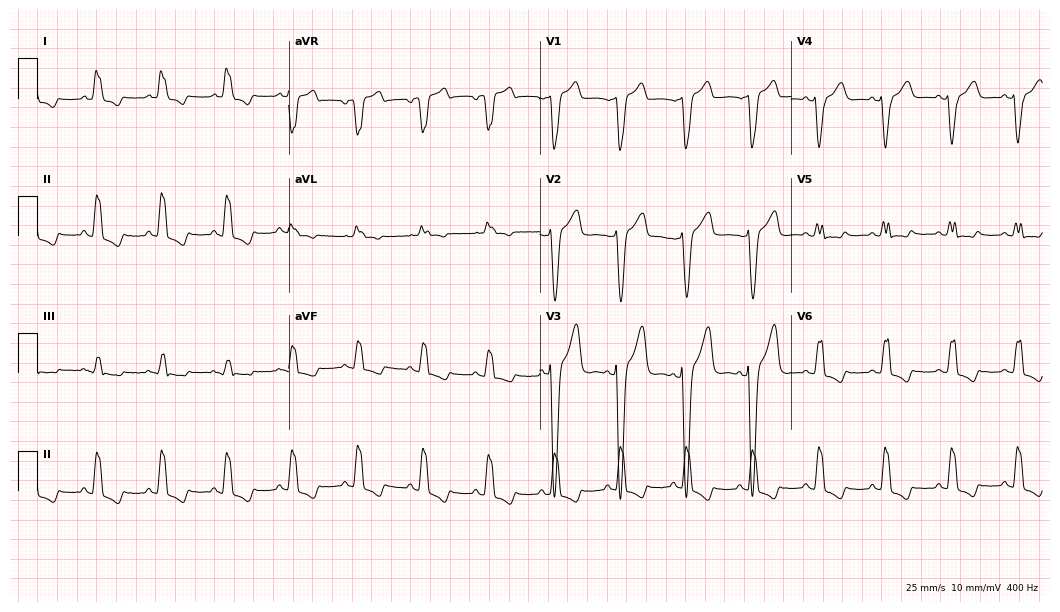
Standard 12-lead ECG recorded from a 73-year-old female (10.2-second recording at 400 Hz). The tracing shows left bundle branch block.